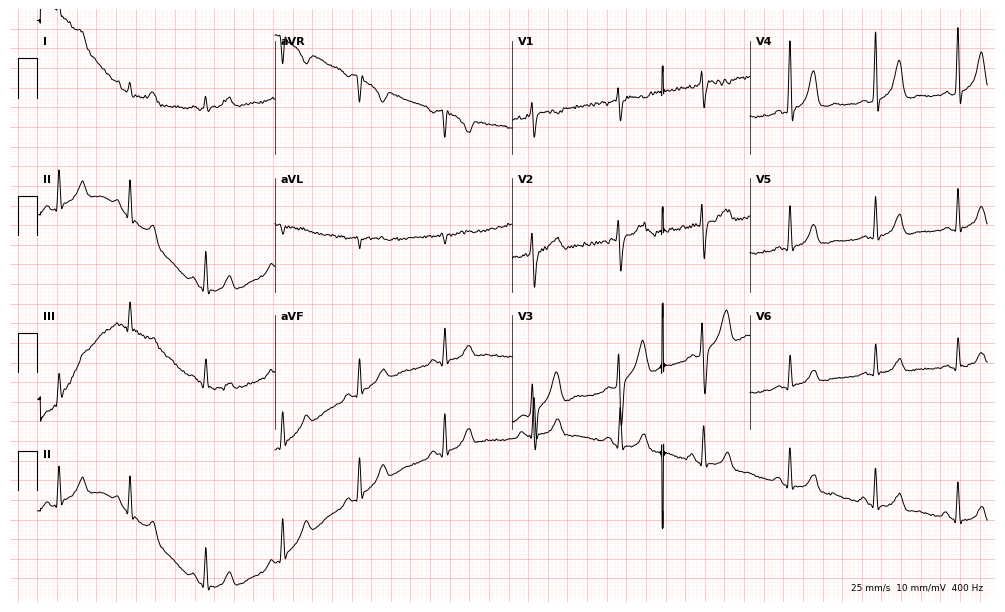
Resting 12-lead electrocardiogram. Patient: a female, 30 years old. None of these six findings is recorded: first-degree AV block, right bundle branch block, left bundle branch block, sinus bradycardia, atrial fibrillation, sinus tachycardia. Findings outside these six are not listed.